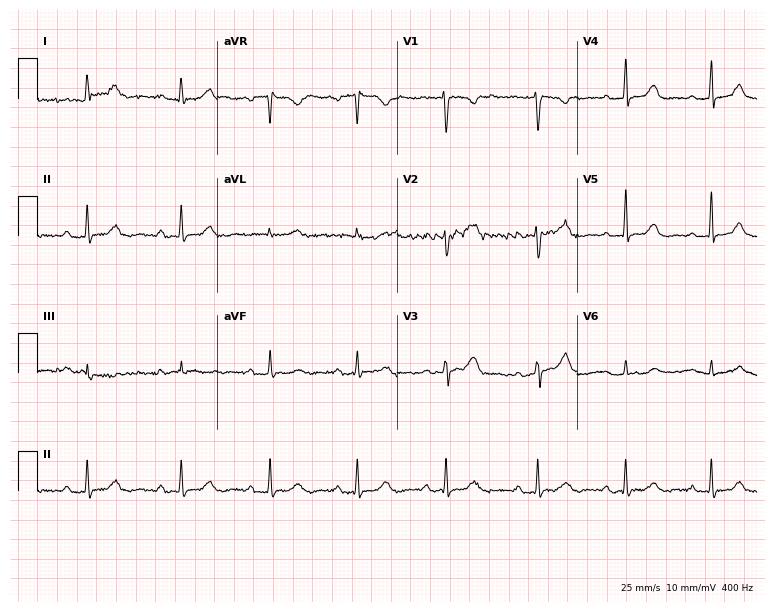
Standard 12-lead ECG recorded from a woman, 43 years old (7.3-second recording at 400 Hz). The tracing shows first-degree AV block.